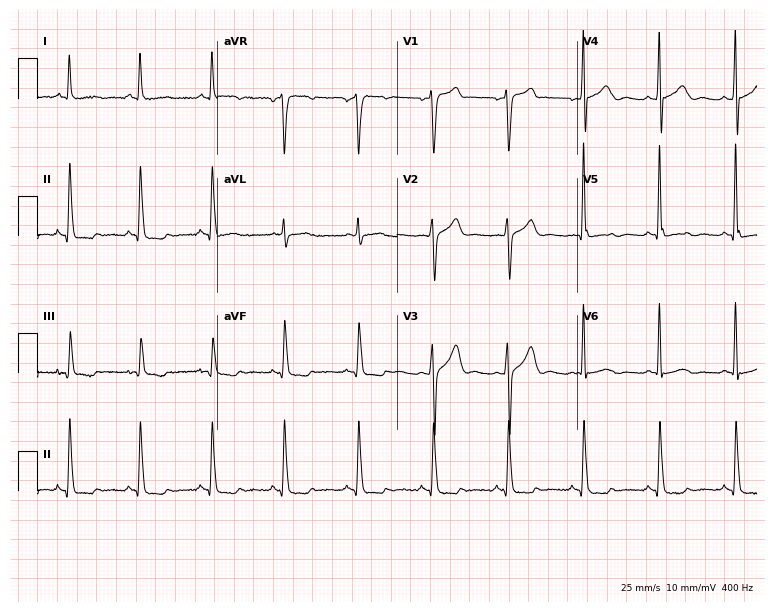
ECG (7.3-second recording at 400 Hz) — a male patient, 62 years old. Screened for six findings — first-degree AV block, right bundle branch block, left bundle branch block, sinus bradycardia, atrial fibrillation, sinus tachycardia — none is recorded.